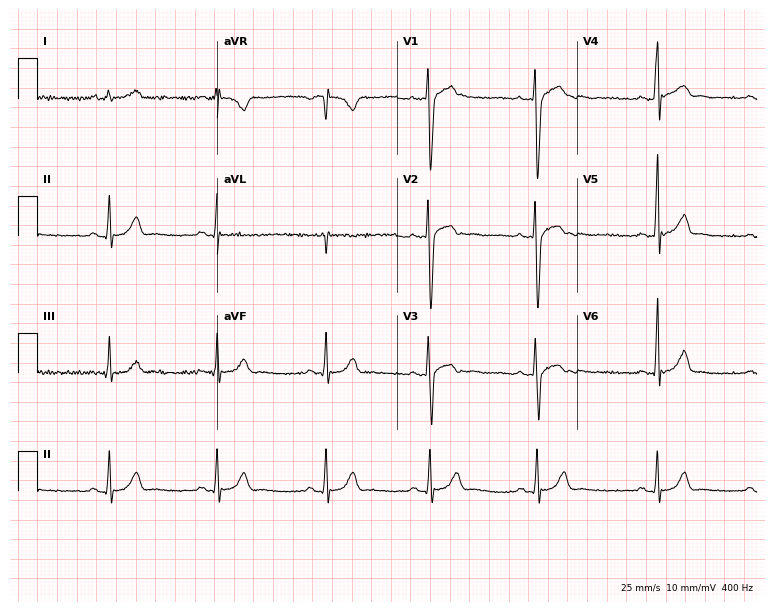
12-lead ECG from a man, 26 years old. Recorded interpretation: within normal limits.